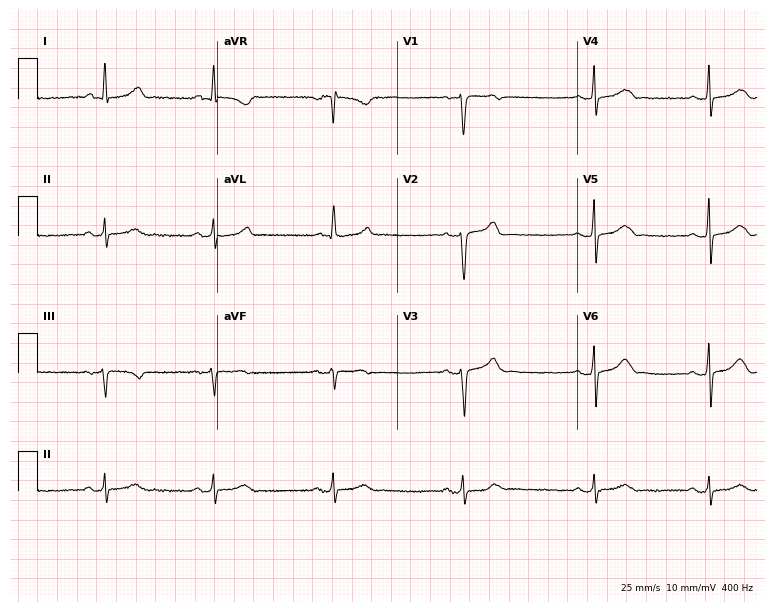
Electrocardiogram, a woman, 42 years old. Of the six screened findings (first-degree AV block, right bundle branch block (RBBB), left bundle branch block (LBBB), sinus bradycardia, atrial fibrillation (AF), sinus tachycardia), none is recorded.